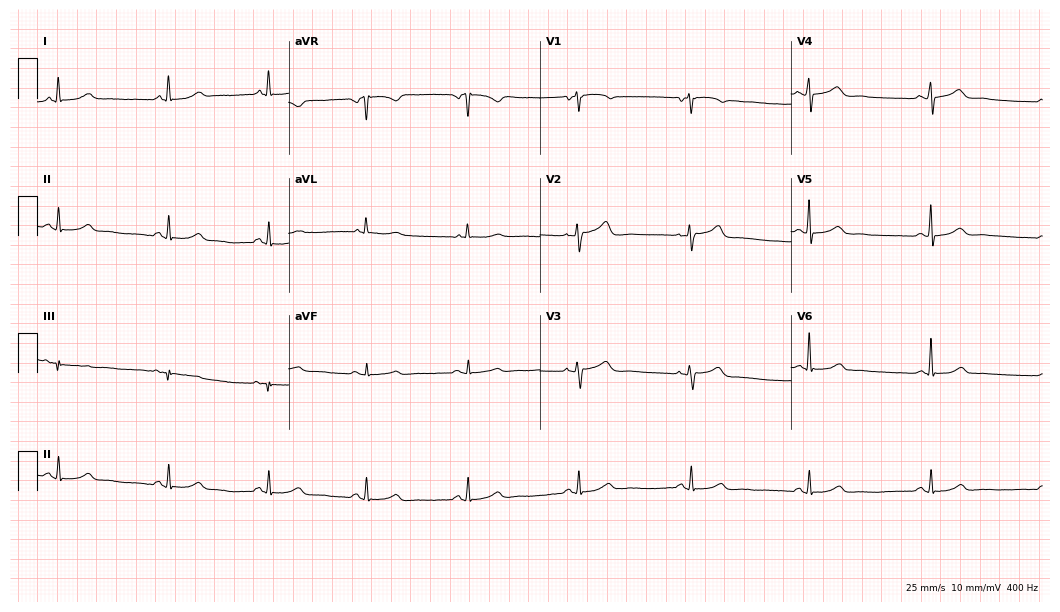
ECG — a 54-year-old female patient. Labelled as a normal ECG.